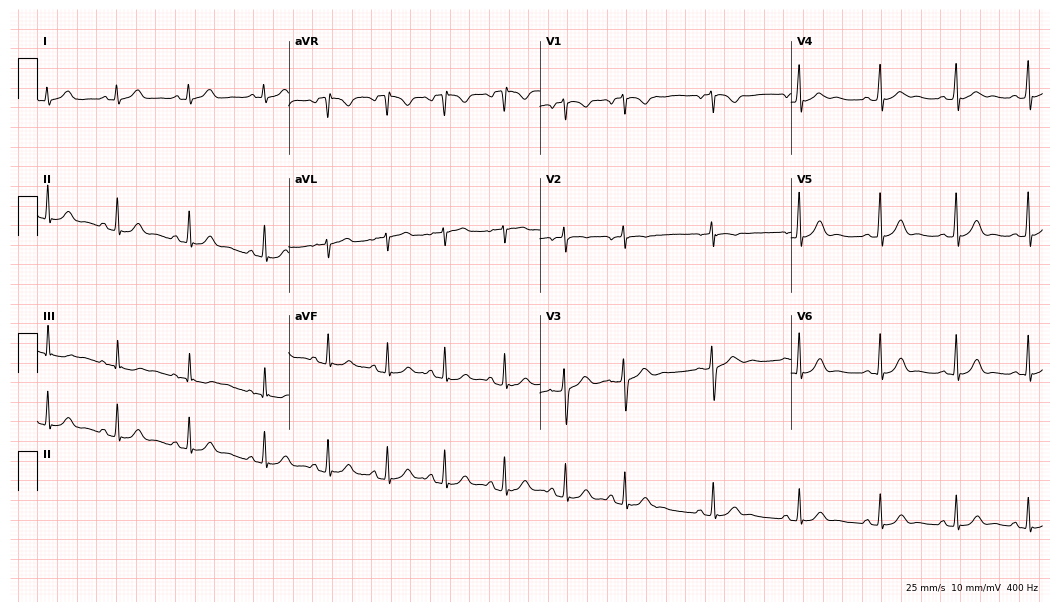
12-lead ECG from a 17-year-old female (10.2-second recording at 400 Hz). No first-degree AV block, right bundle branch block (RBBB), left bundle branch block (LBBB), sinus bradycardia, atrial fibrillation (AF) or sinus tachycardia recorded for this tracing. Only these six findings were labelled.